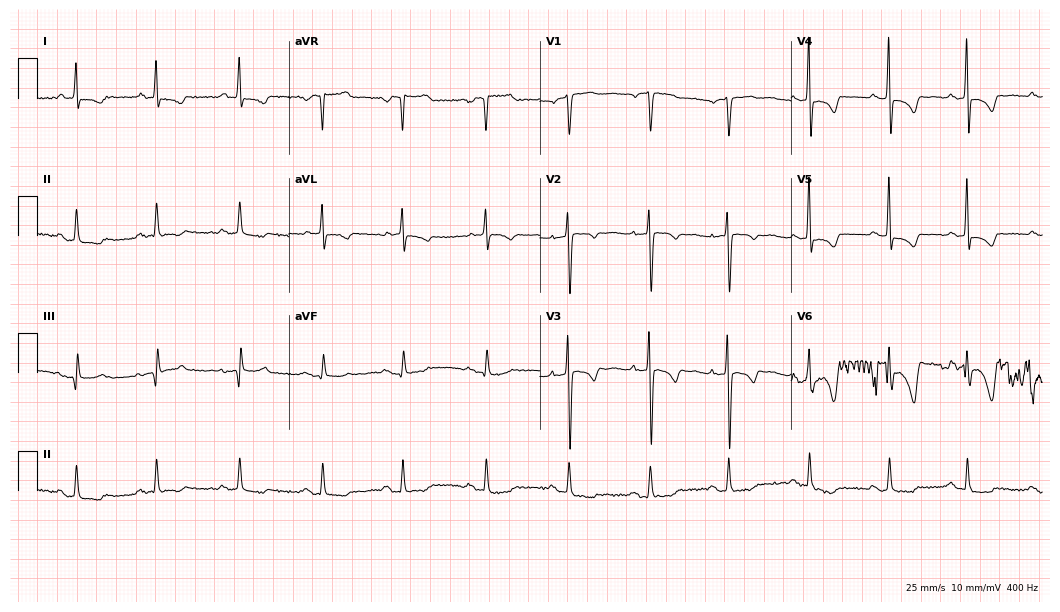
12-lead ECG from a 72-year-old female. Labelled as a normal ECG.